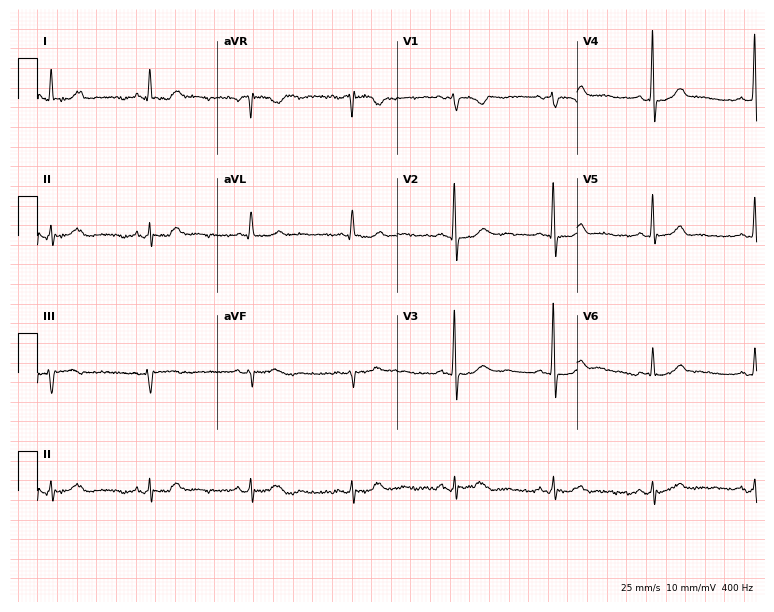
12-lead ECG from a 66-year-old woman. Labelled as a normal ECG.